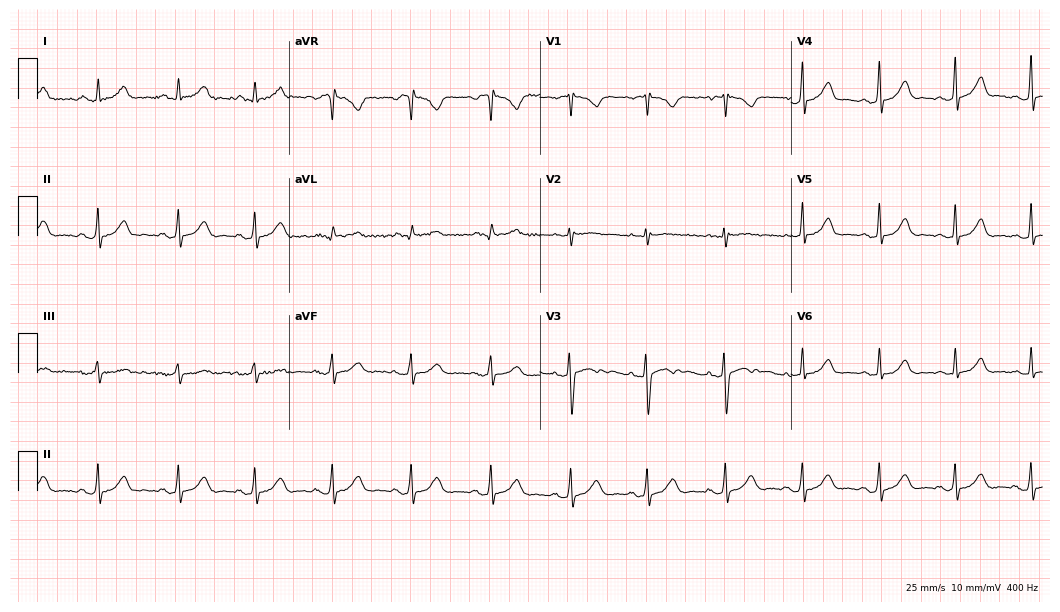
ECG — a female patient, 34 years old. Labelled as a normal ECG.